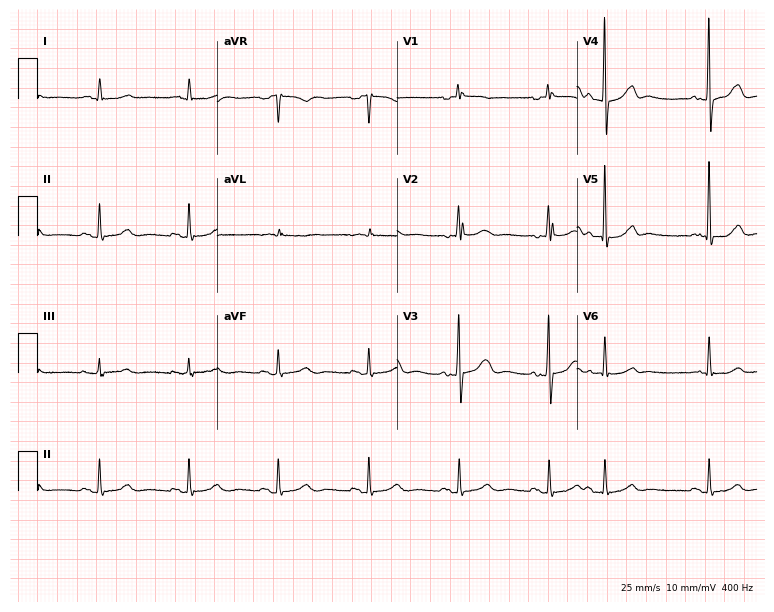
Standard 12-lead ECG recorded from a female patient, 52 years old. Read as a normal ECG.